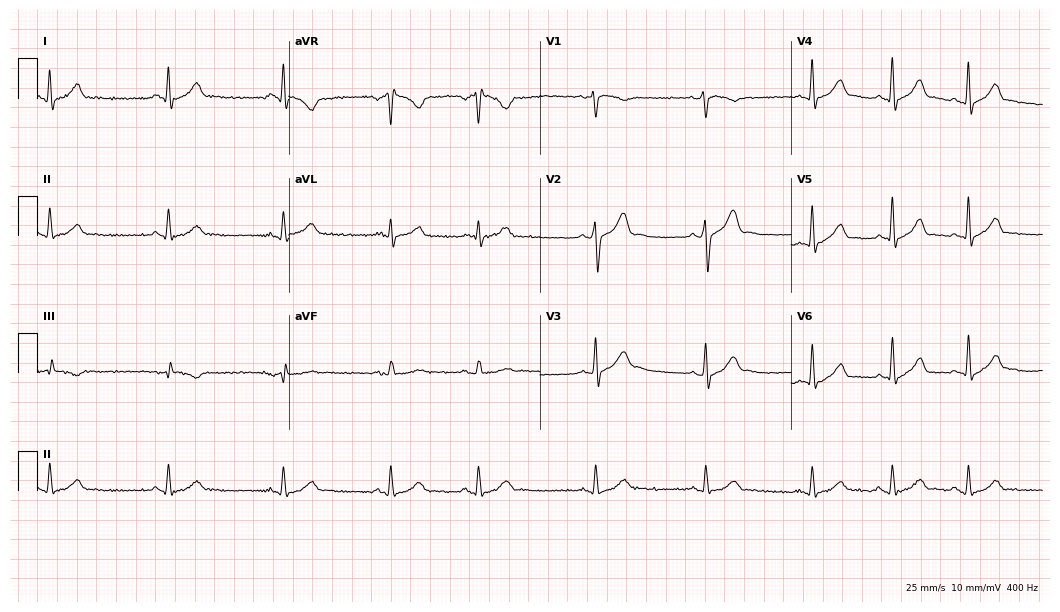
Resting 12-lead electrocardiogram. Patient: a man, 36 years old. None of these six findings is recorded: first-degree AV block, right bundle branch block (RBBB), left bundle branch block (LBBB), sinus bradycardia, atrial fibrillation (AF), sinus tachycardia. Only these six findings were labelled.